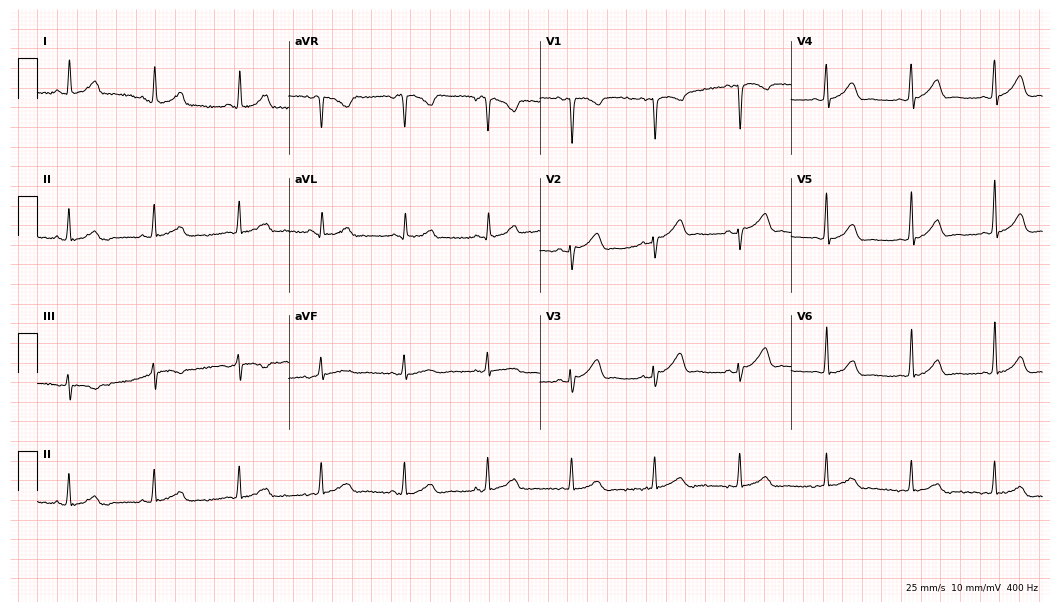
Standard 12-lead ECG recorded from a female patient, 38 years old. Read as a normal ECG.